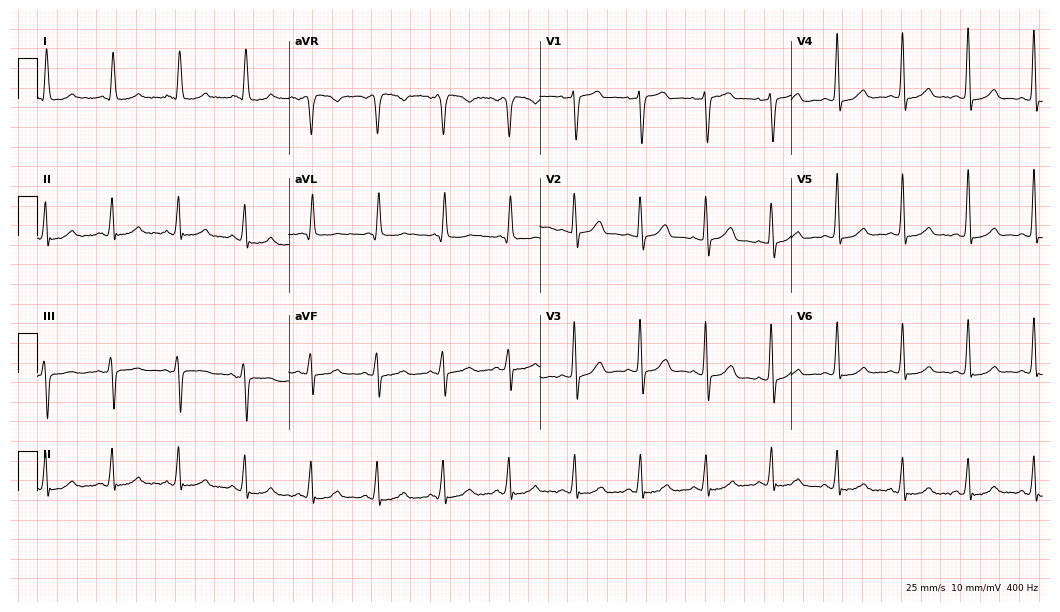
ECG (10.2-second recording at 400 Hz) — a 72-year-old female patient. Labelled as a normal ECG.